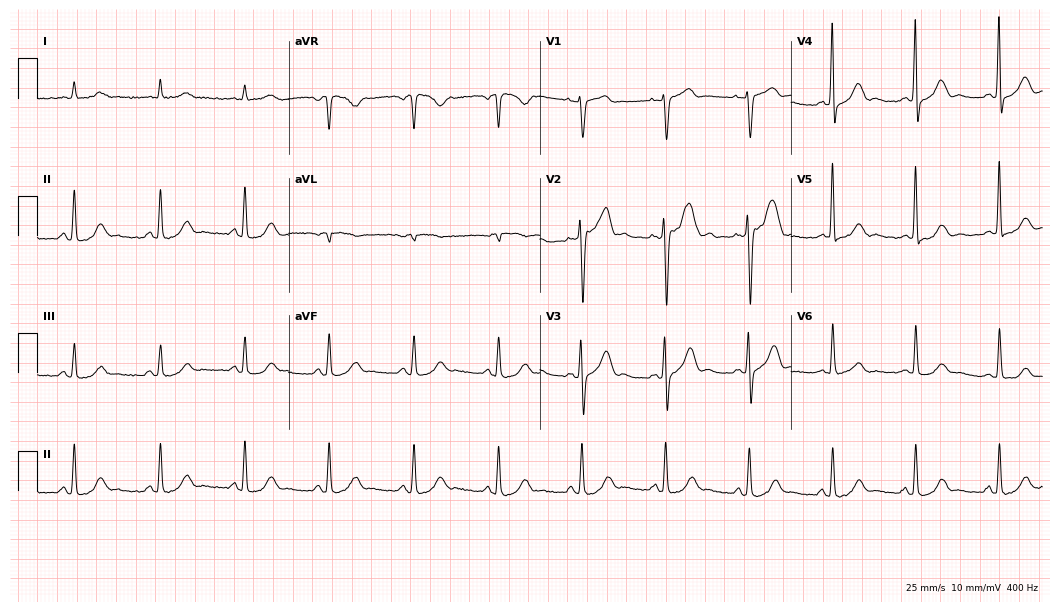
Standard 12-lead ECG recorded from a man, 65 years old (10.2-second recording at 400 Hz). Read as a normal ECG.